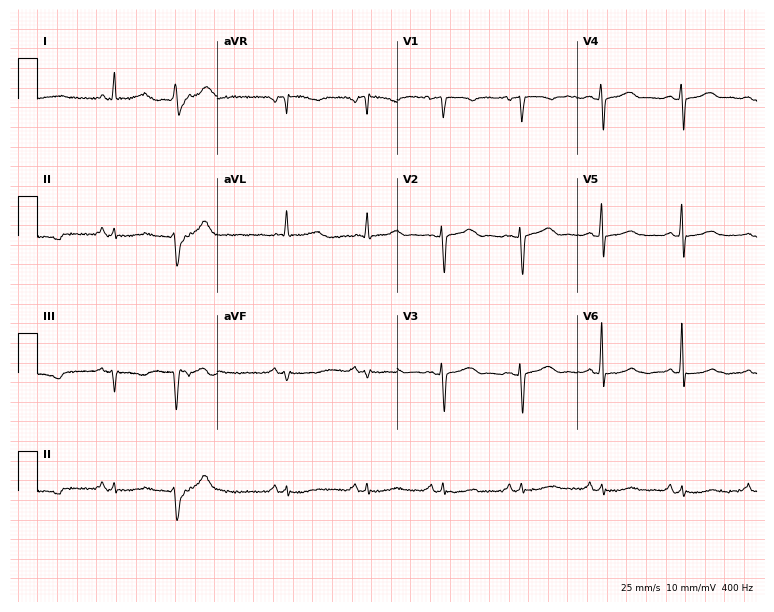
Resting 12-lead electrocardiogram. Patient: a 68-year-old female. None of these six findings is recorded: first-degree AV block, right bundle branch block, left bundle branch block, sinus bradycardia, atrial fibrillation, sinus tachycardia. Only these six findings were labelled.